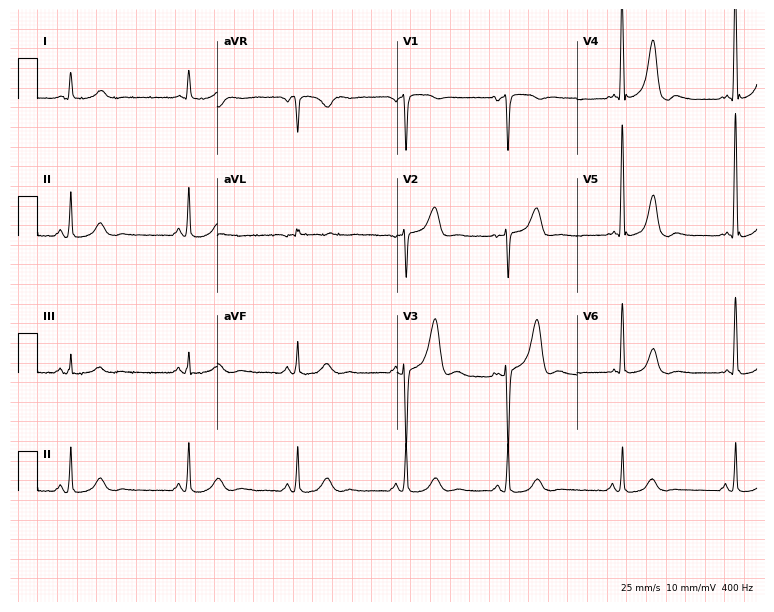
12-lead ECG from an 83-year-old male patient. Recorded interpretation: within normal limits.